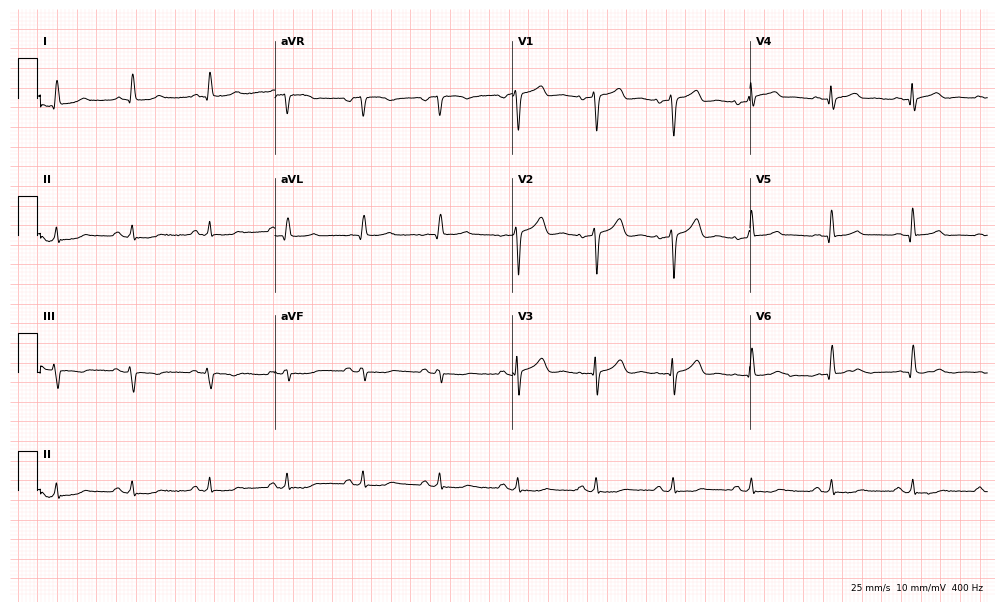
12-lead ECG from a 78-year-old man. Recorded interpretation: within normal limits.